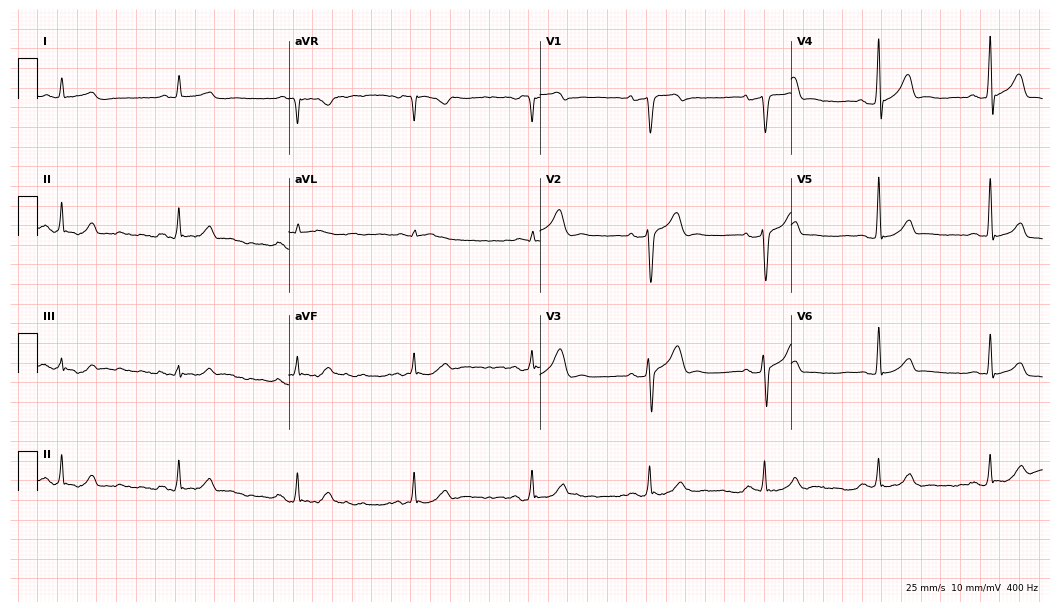
Standard 12-lead ECG recorded from a 62-year-old male patient (10.2-second recording at 400 Hz). None of these six findings is recorded: first-degree AV block, right bundle branch block, left bundle branch block, sinus bradycardia, atrial fibrillation, sinus tachycardia. Other findings, if any, are not listed.